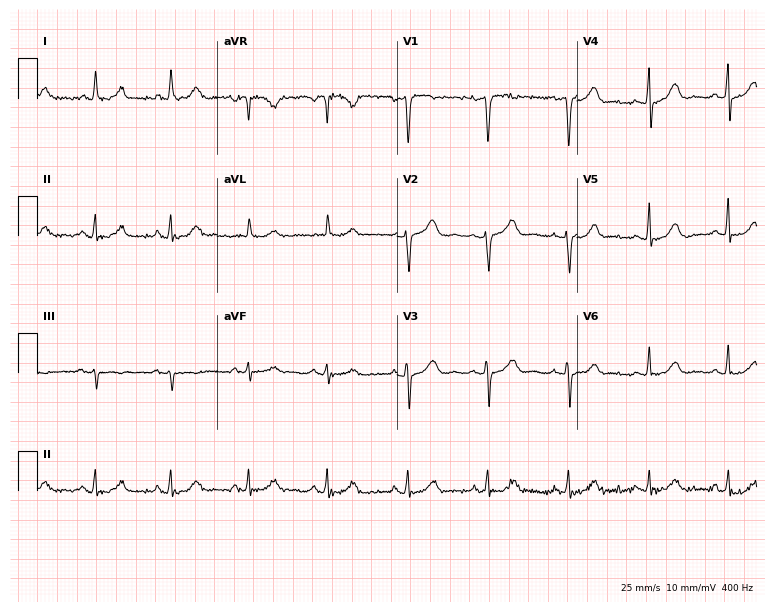
12-lead ECG from a female, 56 years old (7.3-second recording at 400 Hz). Recorded interpretation: within normal limits.